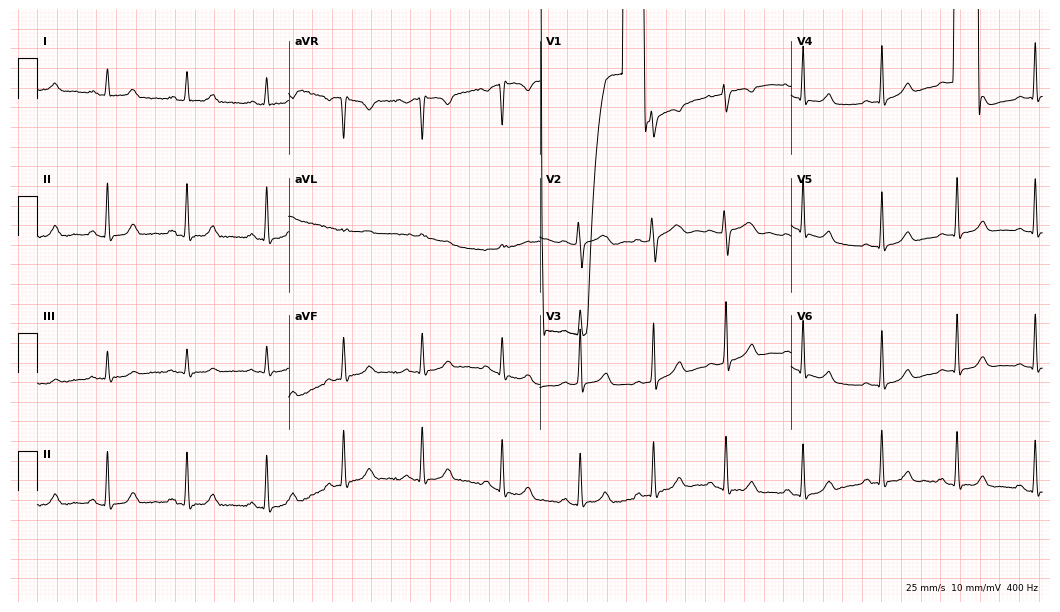
12-lead ECG from a female patient, 31 years old. Screened for six findings — first-degree AV block, right bundle branch block, left bundle branch block, sinus bradycardia, atrial fibrillation, sinus tachycardia — none is recorded.